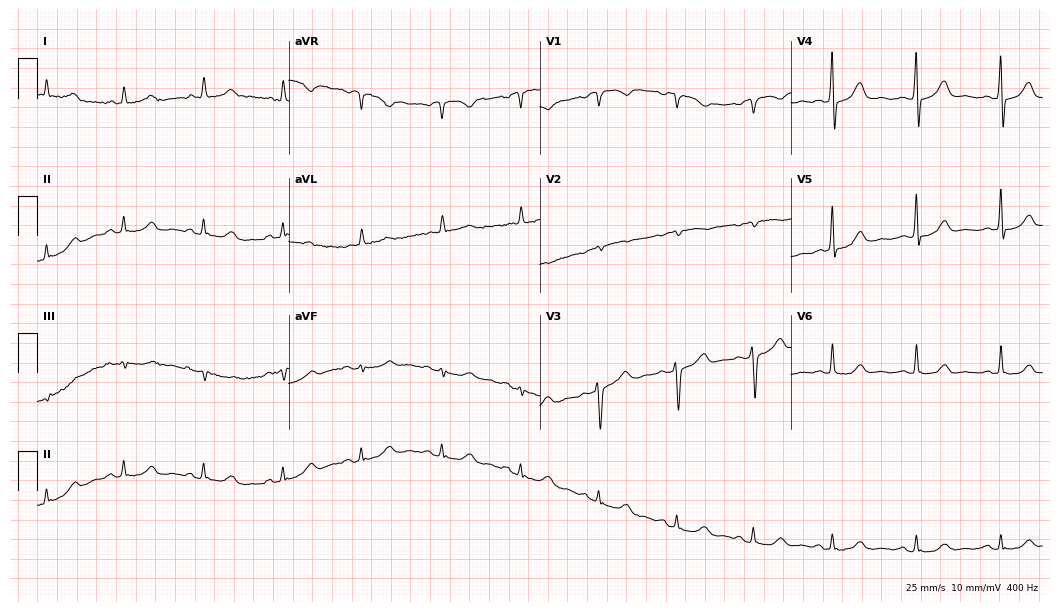
12-lead ECG from a female, 39 years old. Recorded interpretation: within normal limits.